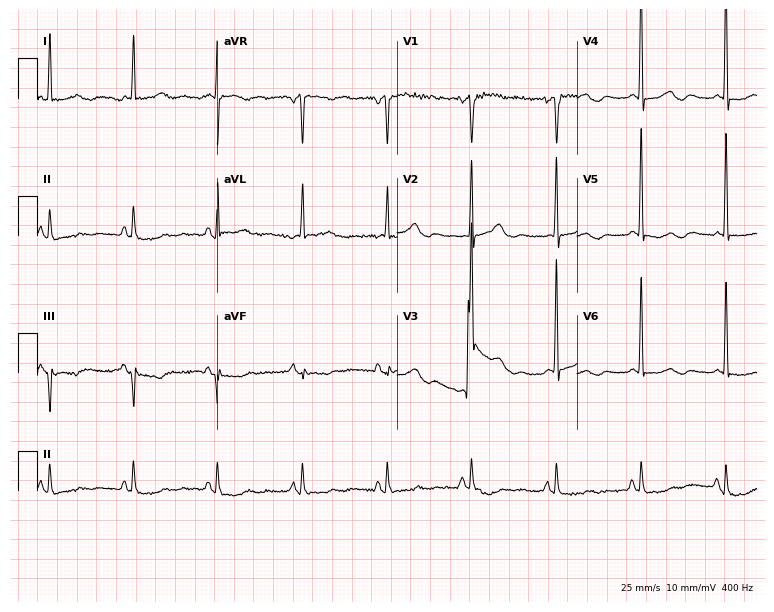
Resting 12-lead electrocardiogram. Patient: a female, 77 years old. None of these six findings is recorded: first-degree AV block, right bundle branch block, left bundle branch block, sinus bradycardia, atrial fibrillation, sinus tachycardia.